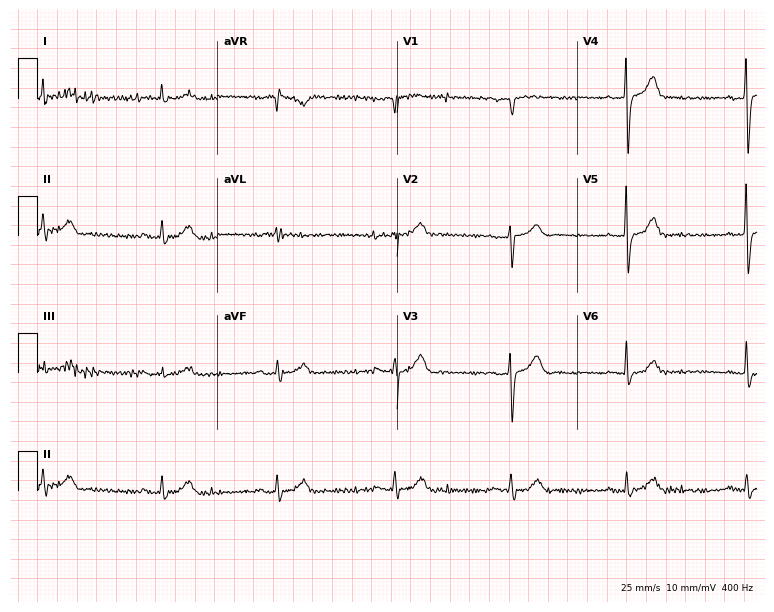
Standard 12-lead ECG recorded from a 78-year-old male patient. Read as a normal ECG.